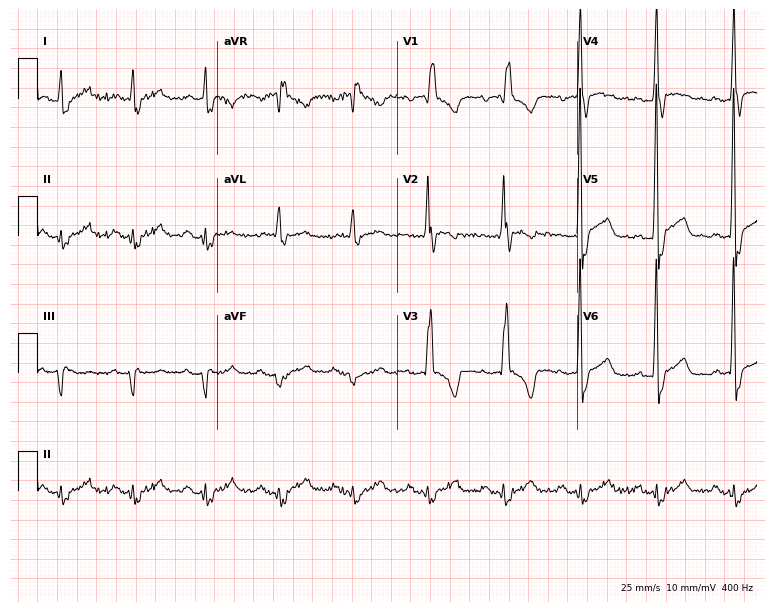
Resting 12-lead electrocardiogram. Patient: a man, 57 years old. None of these six findings is recorded: first-degree AV block, right bundle branch block (RBBB), left bundle branch block (LBBB), sinus bradycardia, atrial fibrillation (AF), sinus tachycardia. Only these six findings were labelled.